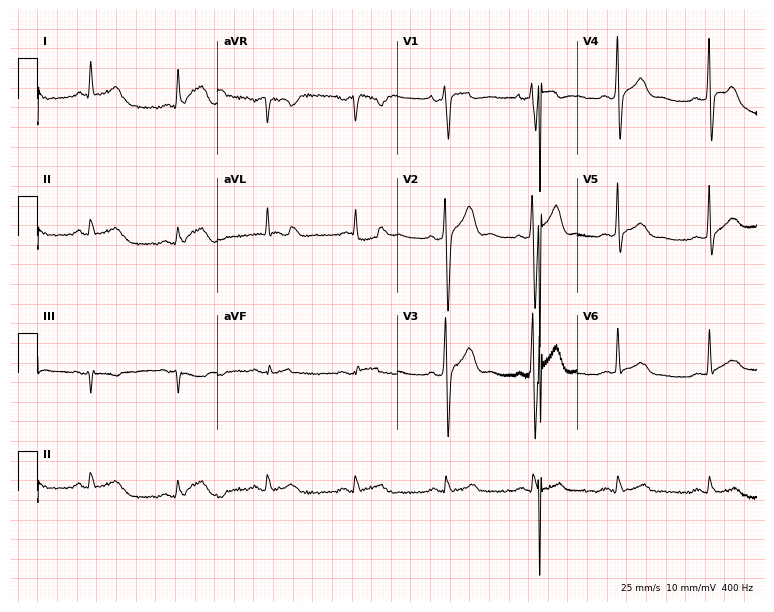
12-lead ECG from a man, 34 years old. Screened for six findings — first-degree AV block, right bundle branch block (RBBB), left bundle branch block (LBBB), sinus bradycardia, atrial fibrillation (AF), sinus tachycardia — none is recorded.